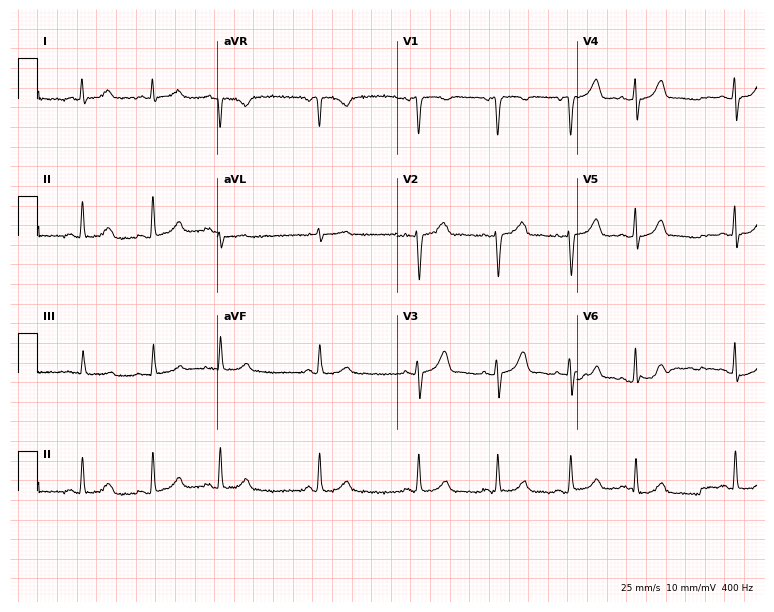
Electrocardiogram (7.3-second recording at 400 Hz), a male patient, 74 years old. Overall reading on record: normal ECG.